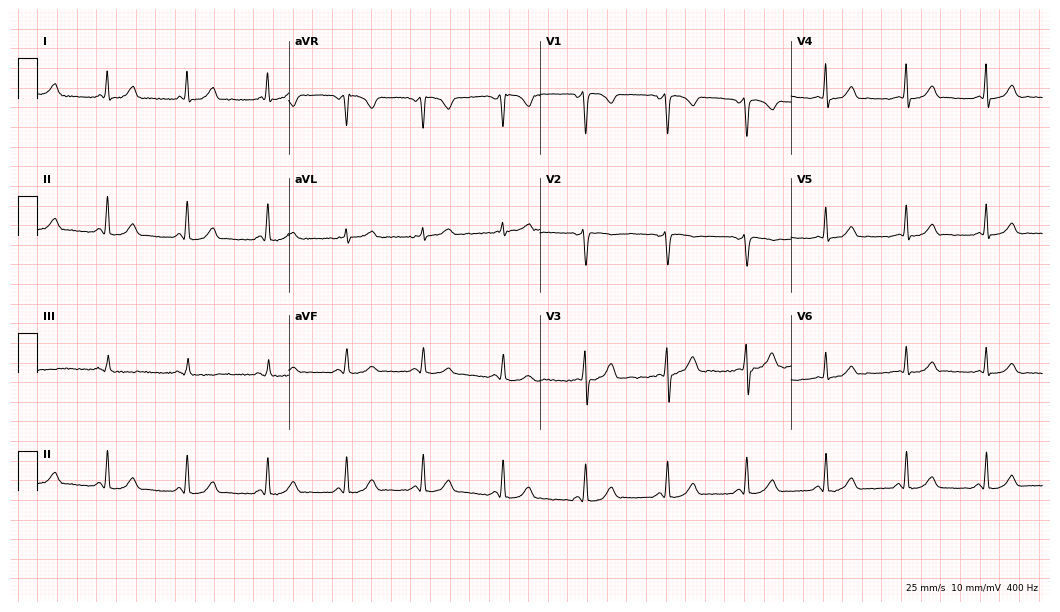
12-lead ECG from a 35-year-old female patient (10.2-second recording at 400 Hz). No first-degree AV block, right bundle branch block, left bundle branch block, sinus bradycardia, atrial fibrillation or sinus tachycardia recorded for this tracing.